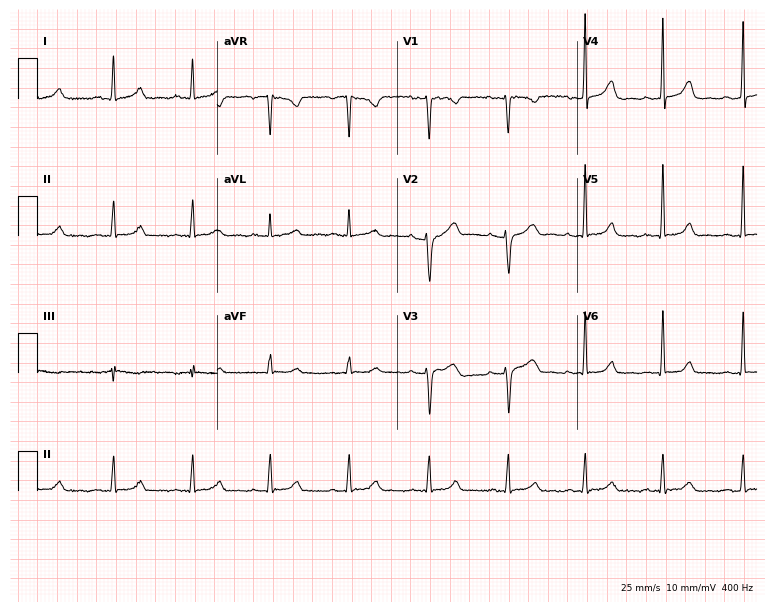
Resting 12-lead electrocardiogram (7.3-second recording at 400 Hz). Patient: a 42-year-old female. None of these six findings is recorded: first-degree AV block, right bundle branch block, left bundle branch block, sinus bradycardia, atrial fibrillation, sinus tachycardia.